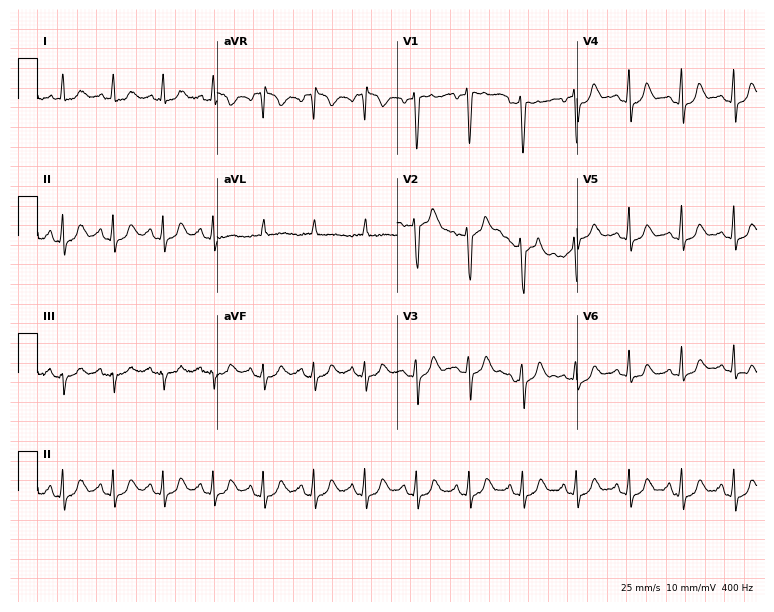
Resting 12-lead electrocardiogram (7.3-second recording at 400 Hz). Patient: a 36-year-old female. The tracing shows sinus tachycardia (a sinus rate of 100 beats per minute or more).